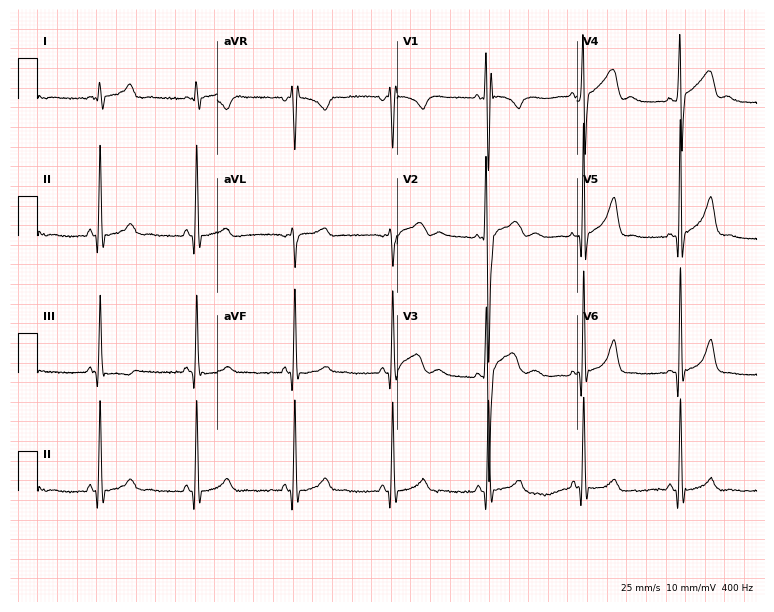
ECG (7.3-second recording at 400 Hz) — a 17-year-old man. Labelled as a normal ECG.